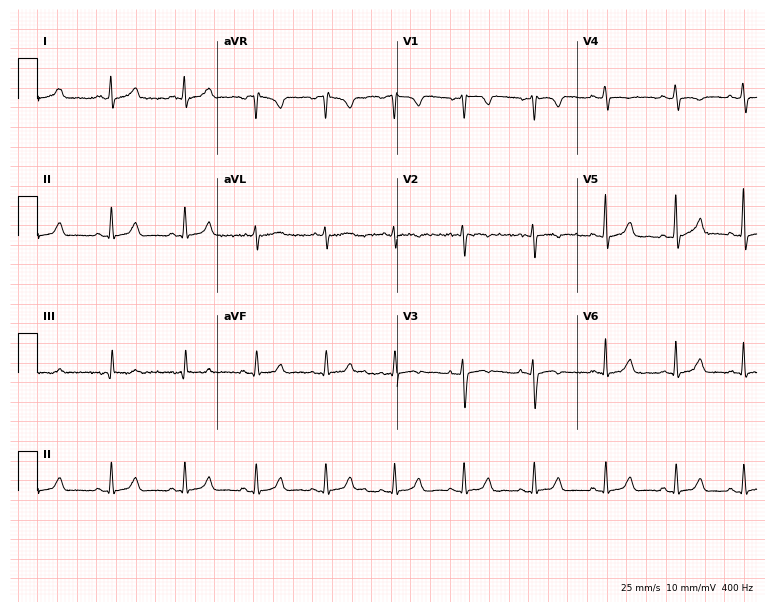
Standard 12-lead ECG recorded from a 28-year-old woman. None of these six findings is recorded: first-degree AV block, right bundle branch block (RBBB), left bundle branch block (LBBB), sinus bradycardia, atrial fibrillation (AF), sinus tachycardia.